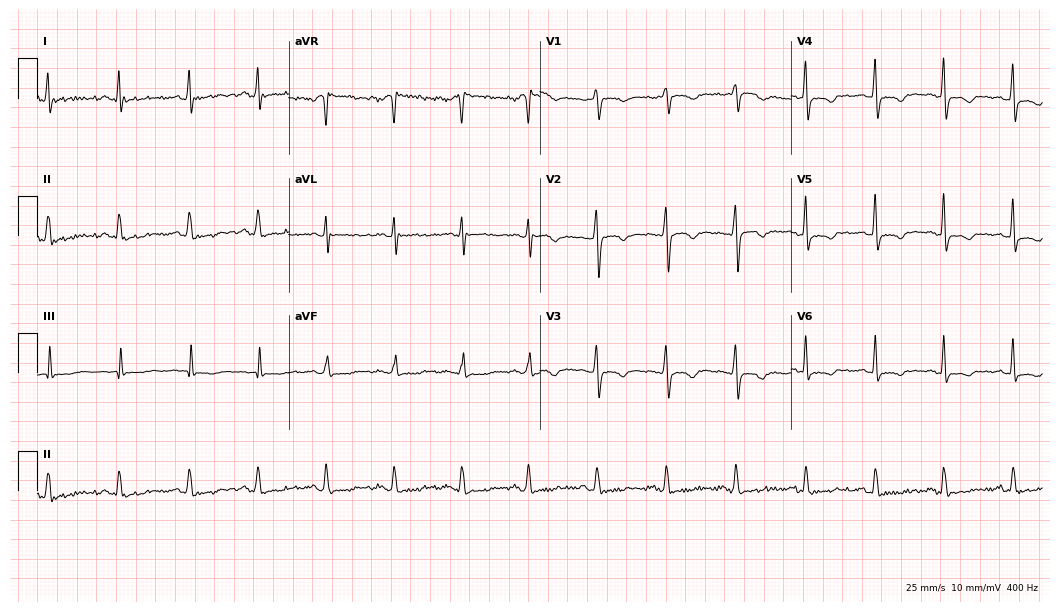
Electrocardiogram (10.2-second recording at 400 Hz), a 40-year-old woman. Of the six screened findings (first-degree AV block, right bundle branch block, left bundle branch block, sinus bradycardia, atrial fibrillation, sinus tachycardia), none is recorded.